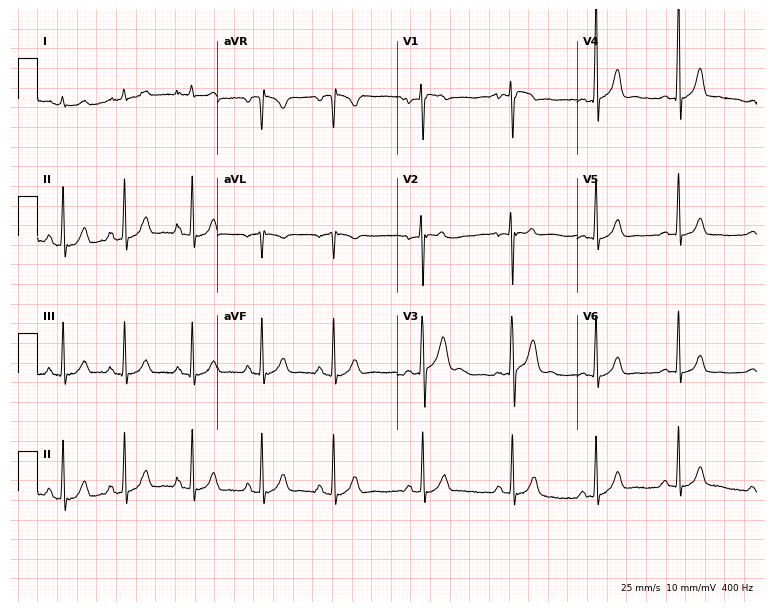
12-lead ECG from a male patient, 27 years old. No first-degree AV block, right bundle branch block (RBBB), left bundle branch block (LBBB), sinus bradycardia, atrial fibrillation (AF) or sinus tachycardia recorded for this tracing. Findings outside these six are not listed.